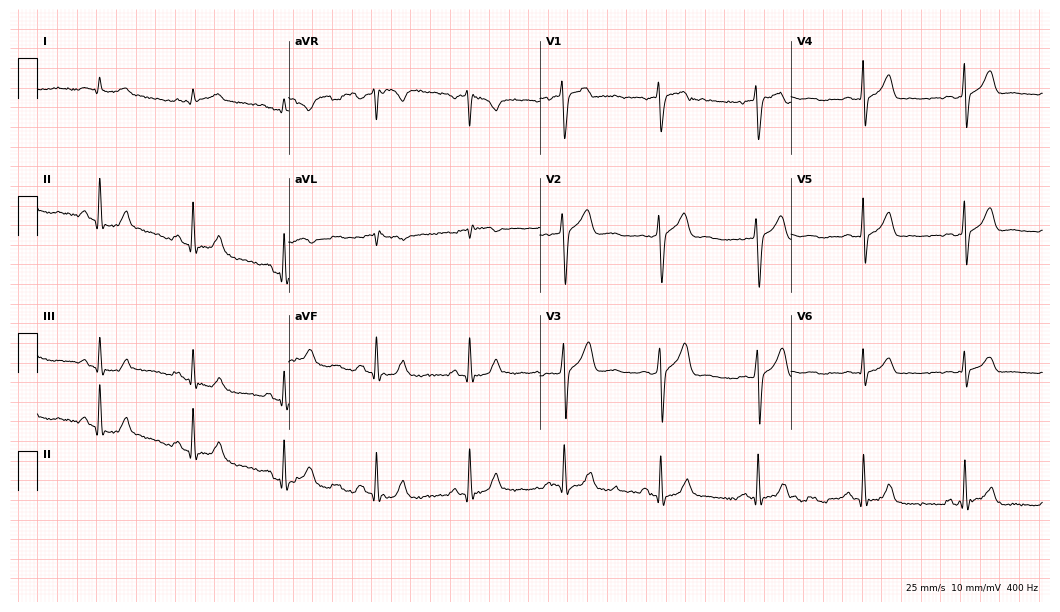
Electrocardiogram (10.2-second recording at 400 Hz), a 55-year-old male. Of the six screened findings (first-degree AV block, right bundle branch block, left bundle branch block, sinus bradycardia, atrial fibrillation, sinus tachycardia), none is recorded. Only these six findings were labelled.